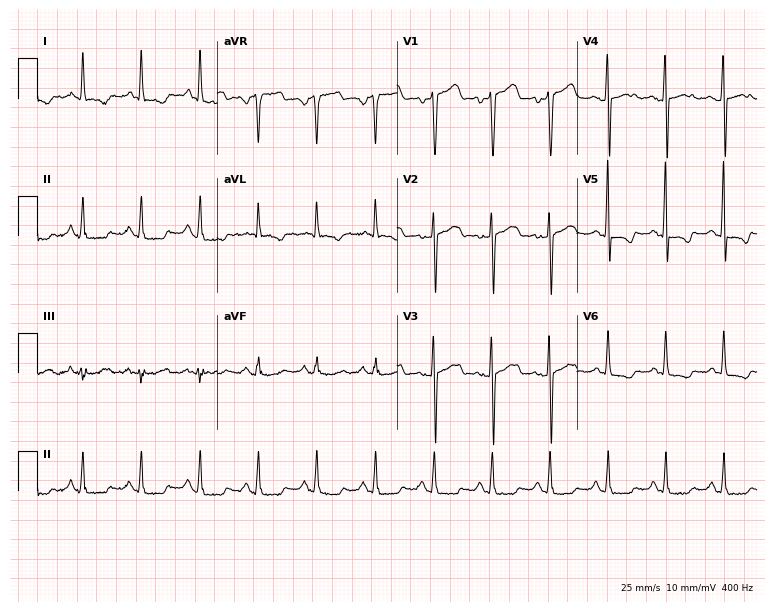
Electrocardiogram, a female, 57 years old. Interpretation includes sinus tachycardia (a sinus rate of 100 beats per minute or more).